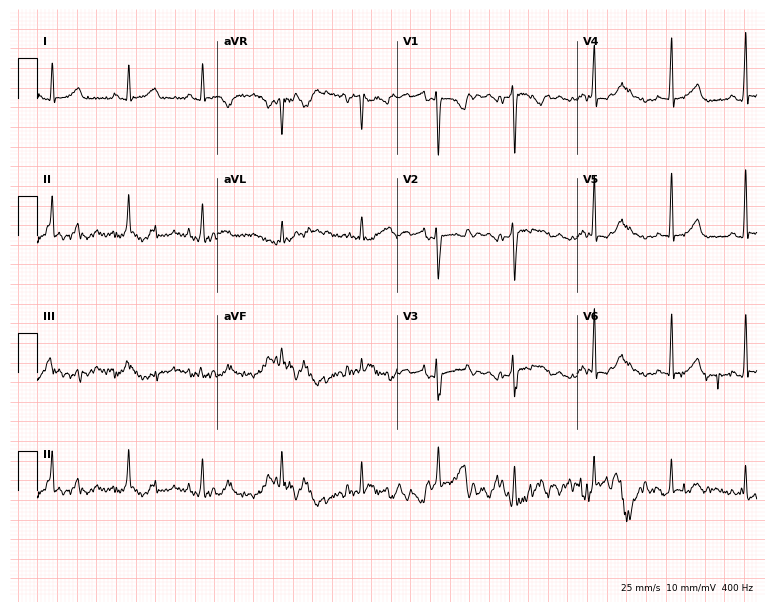
ECG (7.3-second recording at 400 Hz) — a 24-year-old female patient. Screened for six findings — first-degree AV block, right bundle branch block, left bundle branch block, sinus bradycardia, atrial fibrillation, sinus tachycardia — none is recorded.